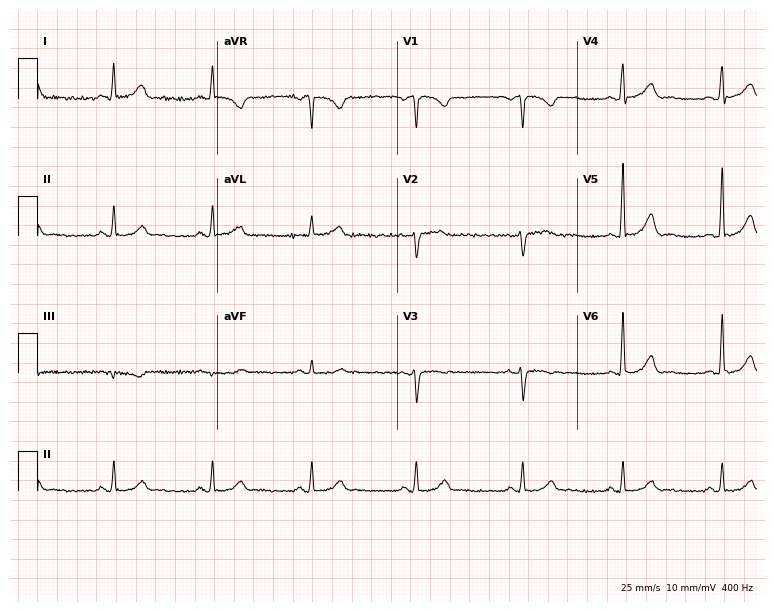
ECG (7.3-second recording at 400 Hz) — a female, 57 years old. Screened for six findings — first-degree AV block, right bundle branch block, left bundle branch block, sinus bradycardia, atrial fibrillation, sinus tachycardia — none is recorded. Findings outside these six are not listed.